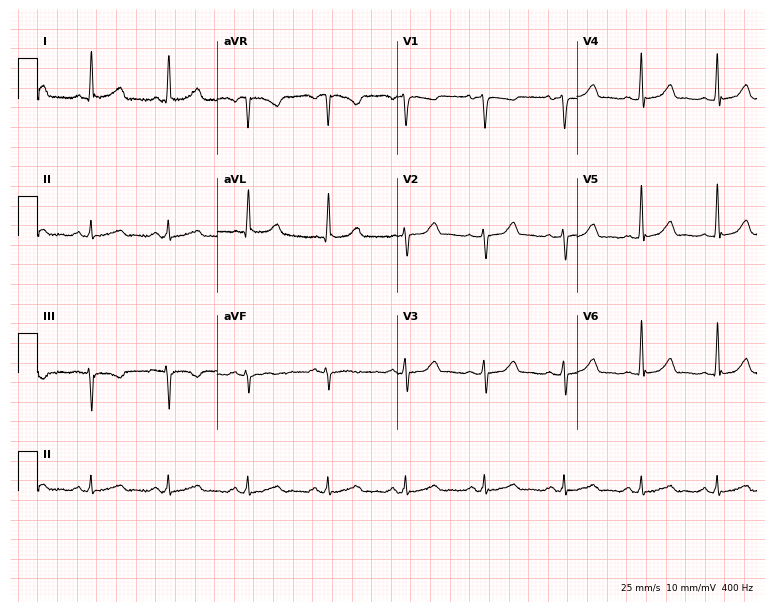
ECG (7.3-second recording at 400 Hz) — a woman, 38 years old. Screened for six findings — first-degree AV block, right bundle branch block, left bundle branch block, sinus bradycardia, atrial fibrillation, sinus tachycardia — none is recorded. Other findings, if any, are not listed.